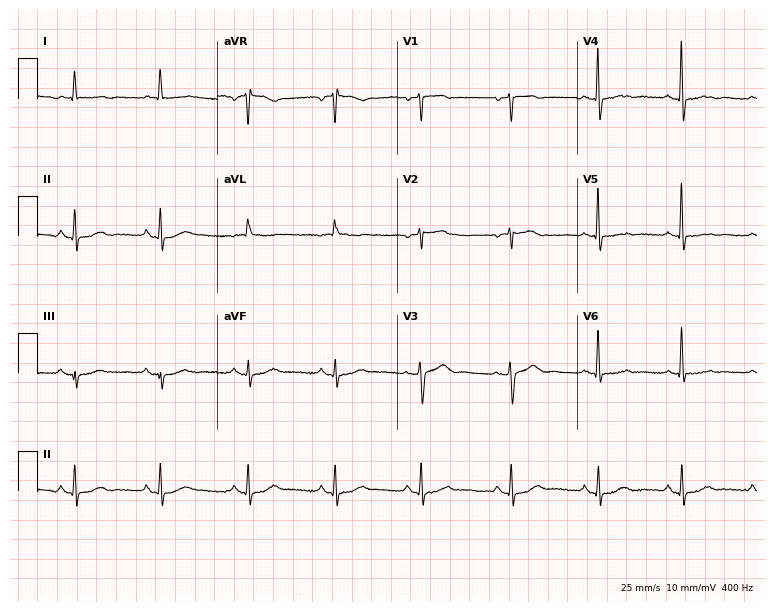
12-lead ECG from a 69-year-old female. No first-degree AV block, right bundle branch block, left bundle branch block, sinus bradycardia, atrial fibrillation or sinus tachycardia recorded for this tracing.